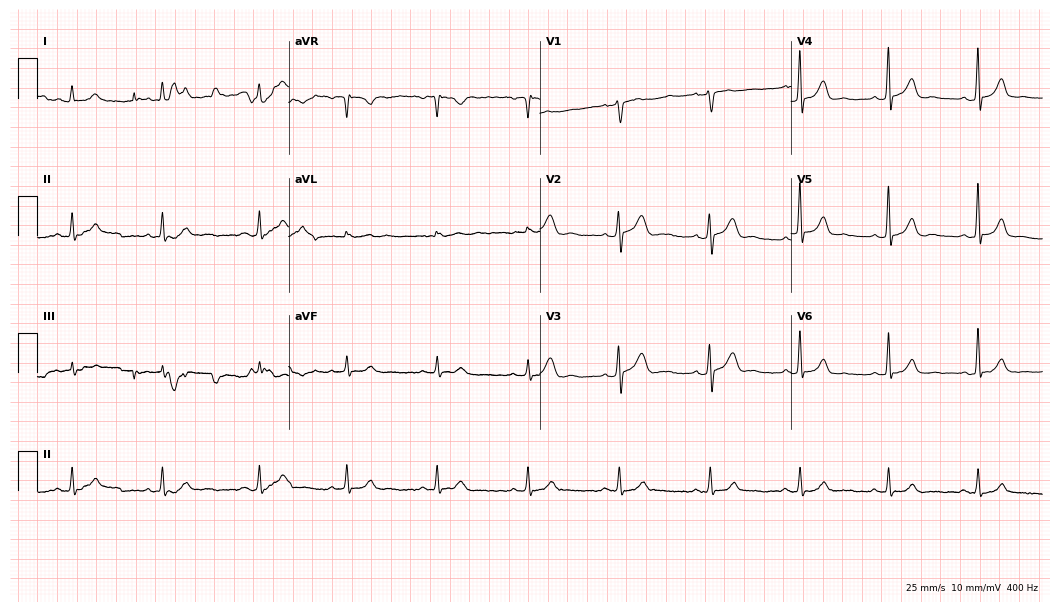
Resting 12-lead electrocardiogram (10.2-second recording at 400 Hz). Patient: a male, 60 years old. Read as a normal ECG.